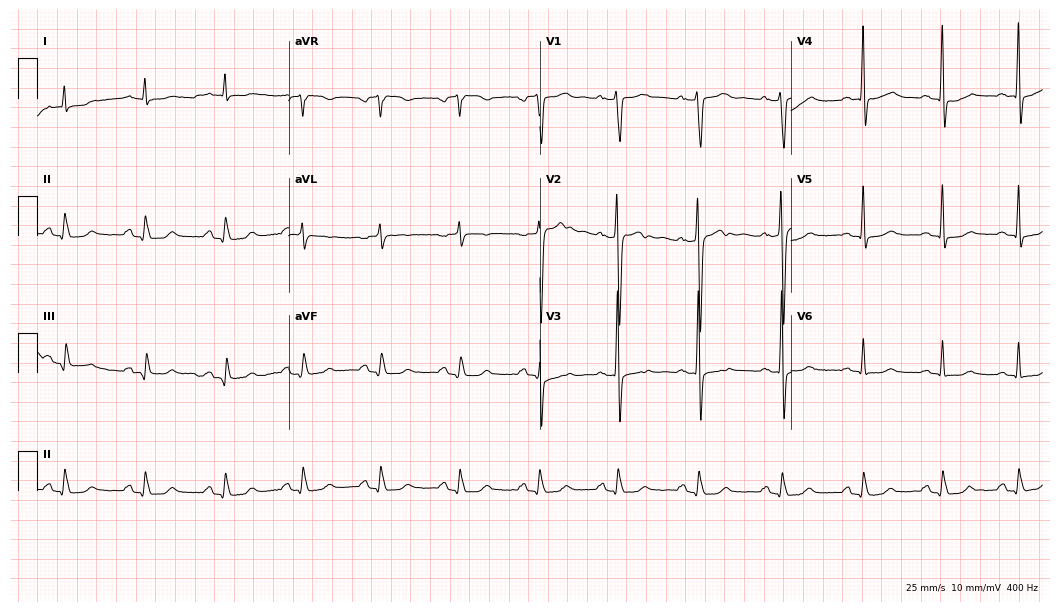
Electrocardiogram (10.2-second recording at 400 Hz), a 65-year-old man. Of the six screened findings (first-degree AV block, right bundle branch block, left bundle branch block, sinus bradycardia, atrial fibrillation, sinus tachycardia), none is recorded.